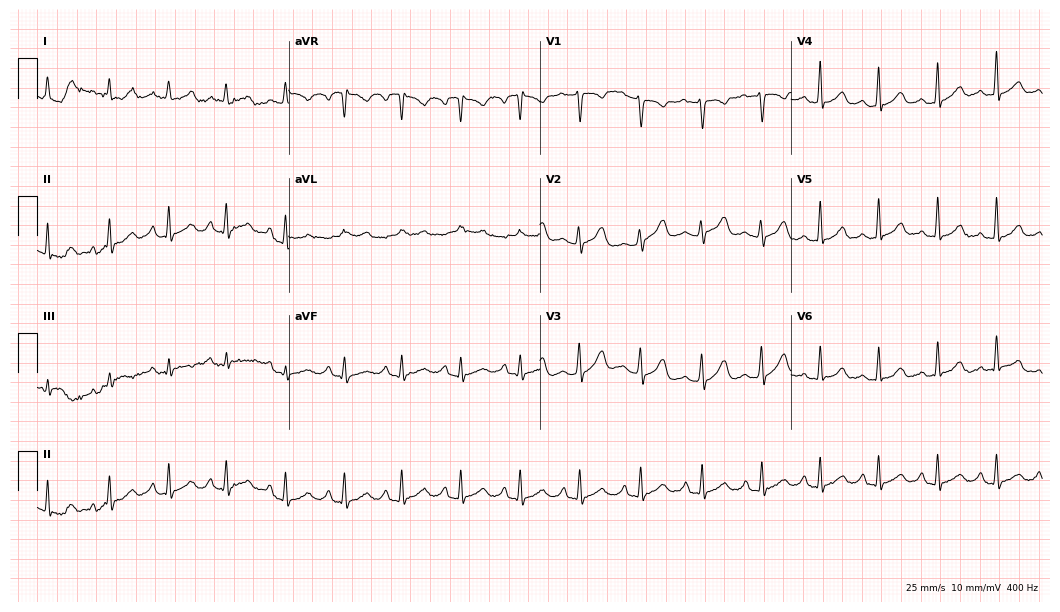
Resting 12-lead electrocardiogram (10.2-second recording at 400 Hz). Patient: a 17-year-old female. Read as a normal ECG.